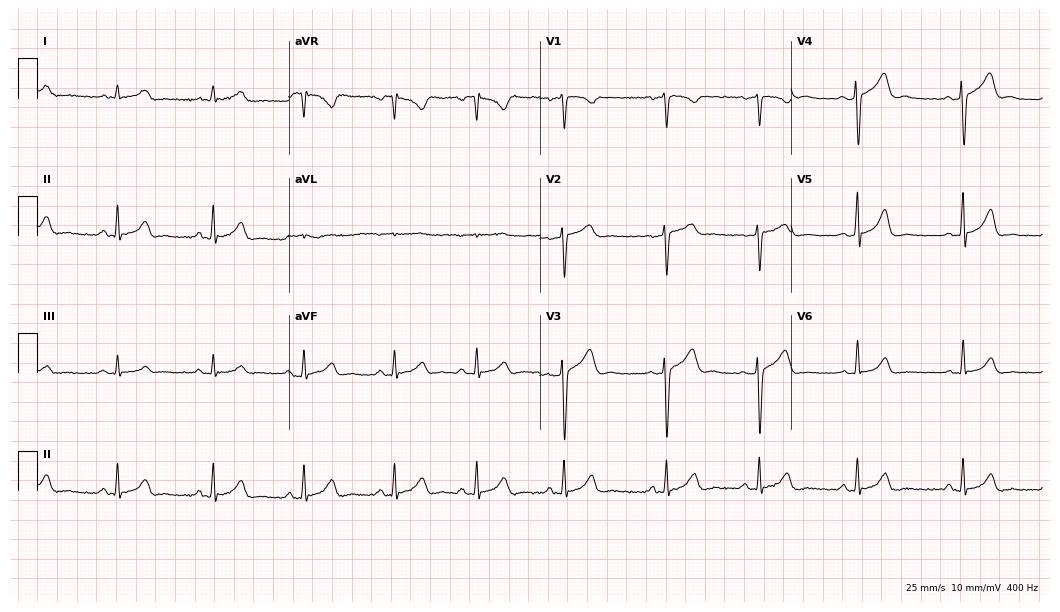
Standard 12-lead ECG recorded from a female patient, 32 years old (10.2-second recording at 400 Hz). None of these six findings is recorded: first-degree AV block, right bundle branch block, left bundle branch block, sinus bradycardia, atrial fibrillation, sinus tachycardia.